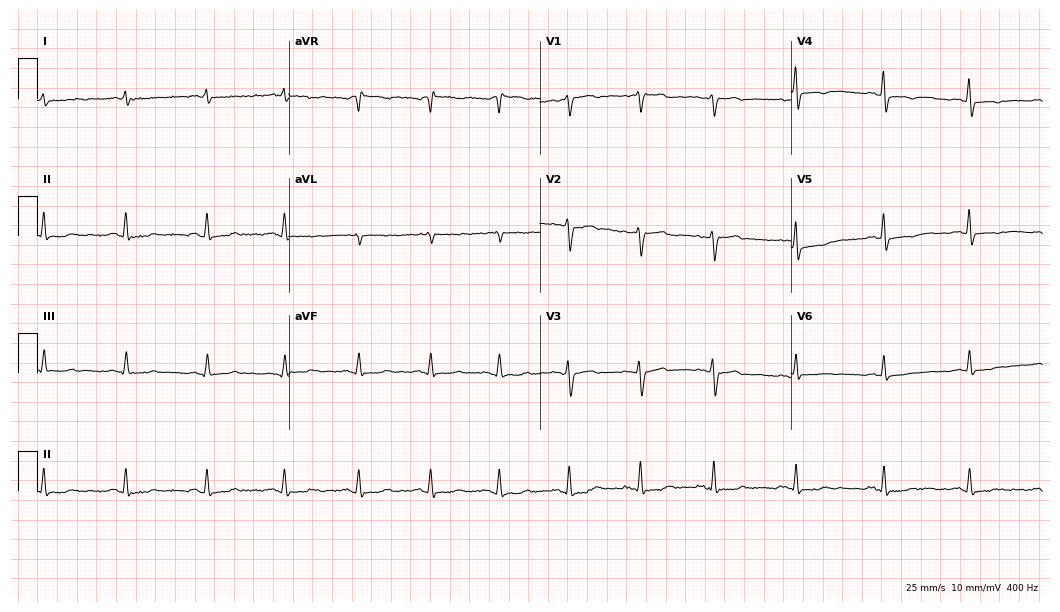
Standard 12-lead ECG recorded from a female, 34 years old. None of these six findings is recorded: first-degree AV block, right bundle branch block, left bundle branch block, sinus bradycardia, atrial fibrillation, sinus tachycardia. Findings outside these six are not listed.